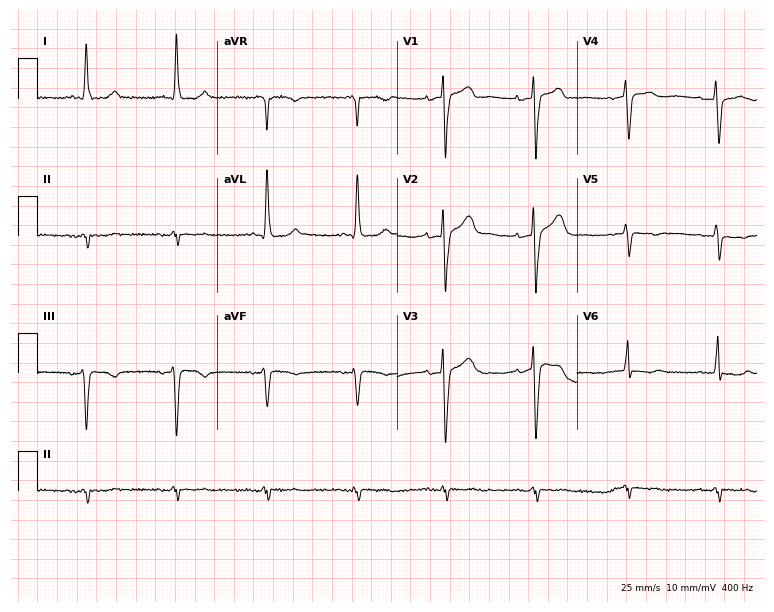
ECG — a female, 80 years old. Screened for six findings — first-degree AV block, right bundle branch block, left bundle branch block, sinus bradycardia, atrial fibrillation, sinus tachycardia — none is recorded. Only these six findings were labelled.